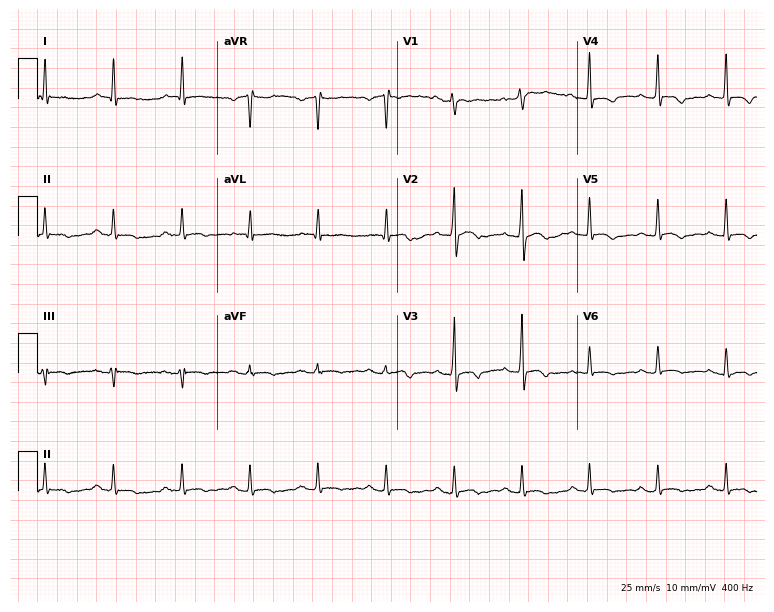
Electrocardiogram (7.3-second recording at 400 Hz), a male, 35 years old. Of the six screened findings (first-degree AV block, right bundle branch block, left bundle branch block, sinus bradycardia, atrial fibrillation, sinus tachycardia), none is recorded.